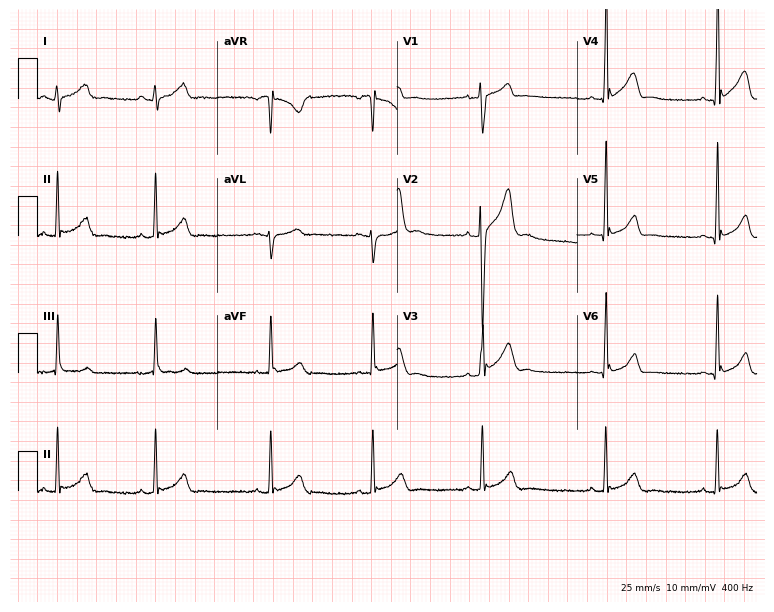
Resting 12-lead electrocardiogram. Patient: a male, 18 years old. Read as a normal ECG.